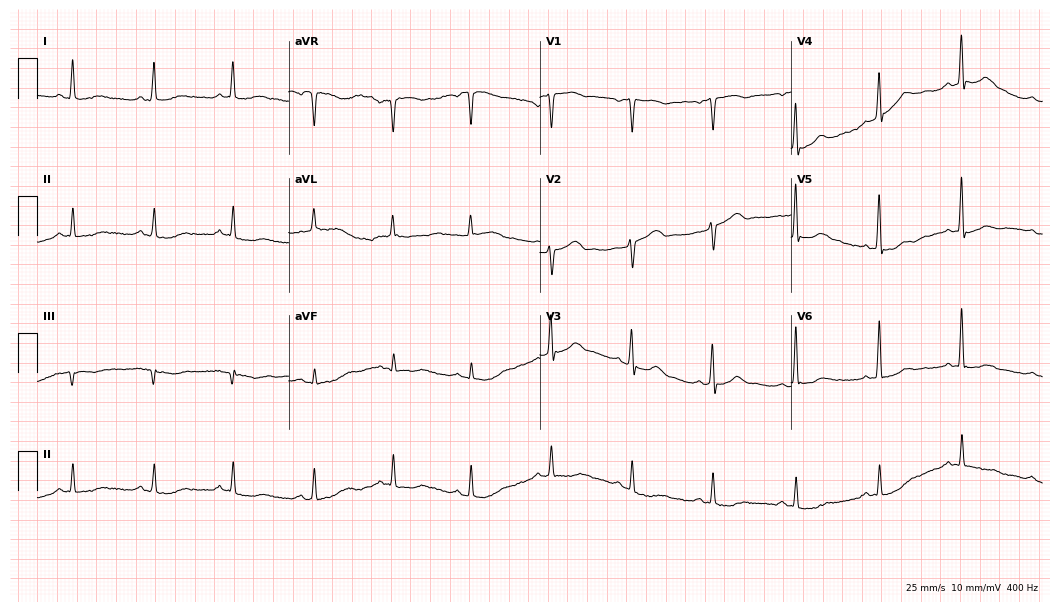
ECG (10.2-second recording at 400 Hz) — a female, 55 years old. Screened for six findings — first-degree AV block, right bundle branch block, left bundle branch block, sinus bradycardia, atrial fibrillation, sinus tachycardia — none is recorded. Only these six findings were labelled.